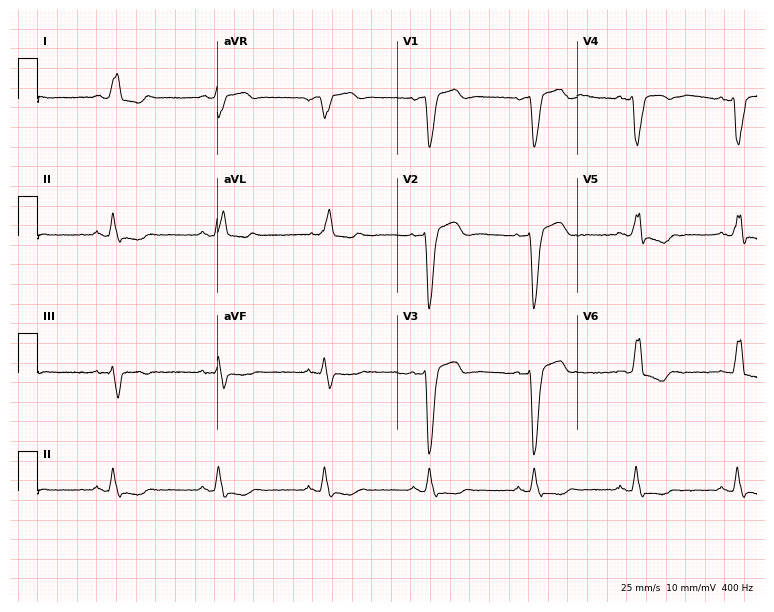
12-lead ECG from a 76-year-old man. Findings include left bundle branch block (LBBB).